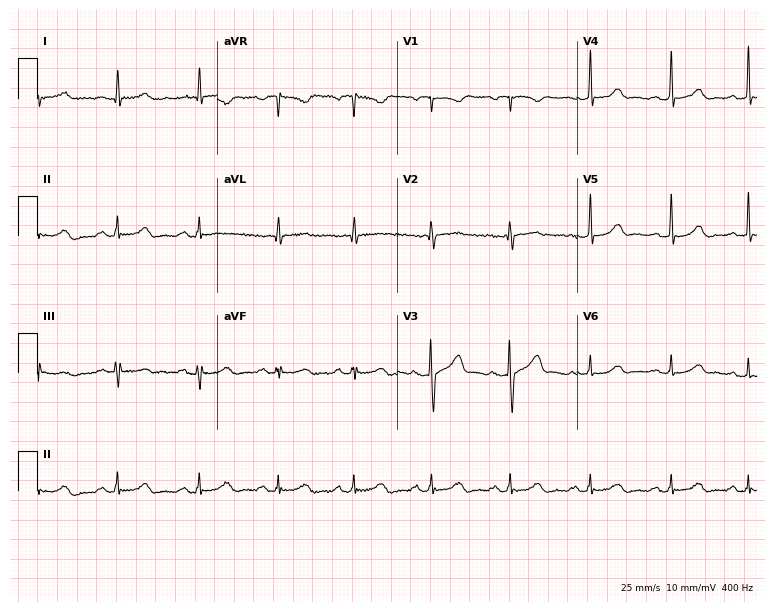
12-lead ECG from a female patient, 32 years old (7.3-second recording at 400 Hz). No first-degree AV block, right bundle branch block (RBBB), left bundle branch block (LBBB), sinus bradycardia, atrial fibrillation (AF) or sinus tachycardia recorded for this tracing. Only these six findings were labelled.